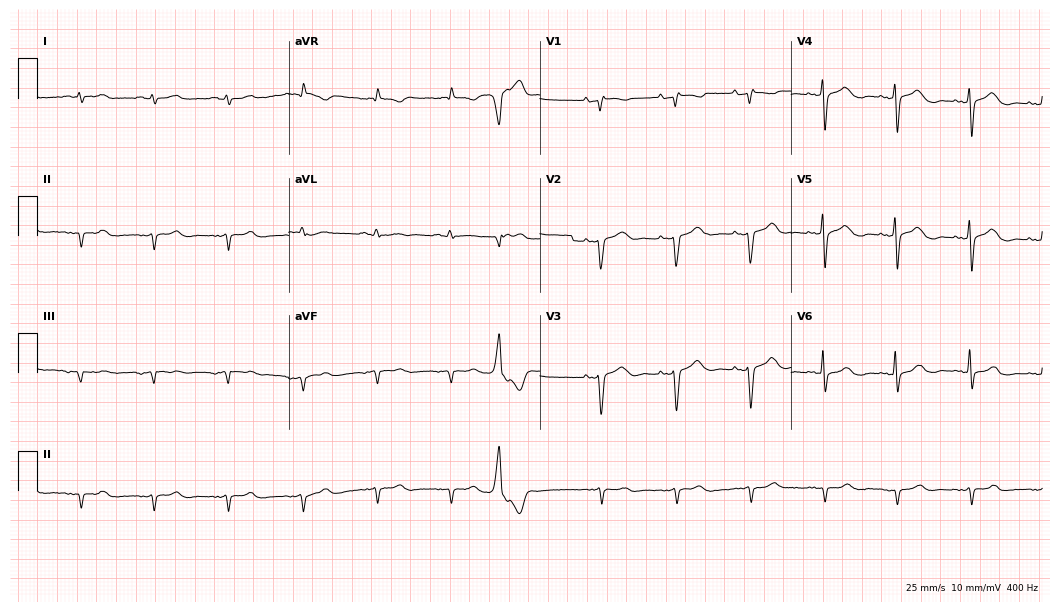
12-lead ECG from a 69-year-old woman (10.2-second recording at 400 Hz). No first-degree AV block, right bundle branch block, left bundle branch block, sinus bradycardia, atrial fibrillation or sinus tachycardia recorded for this tracing. Only these six findings were labelled.